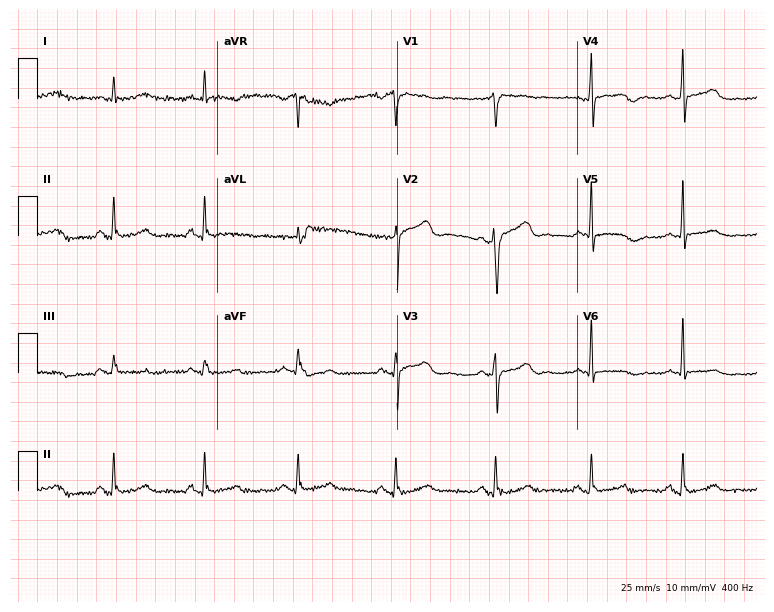
ECG — a 62-year-old man. Labelled as a normal ECG.